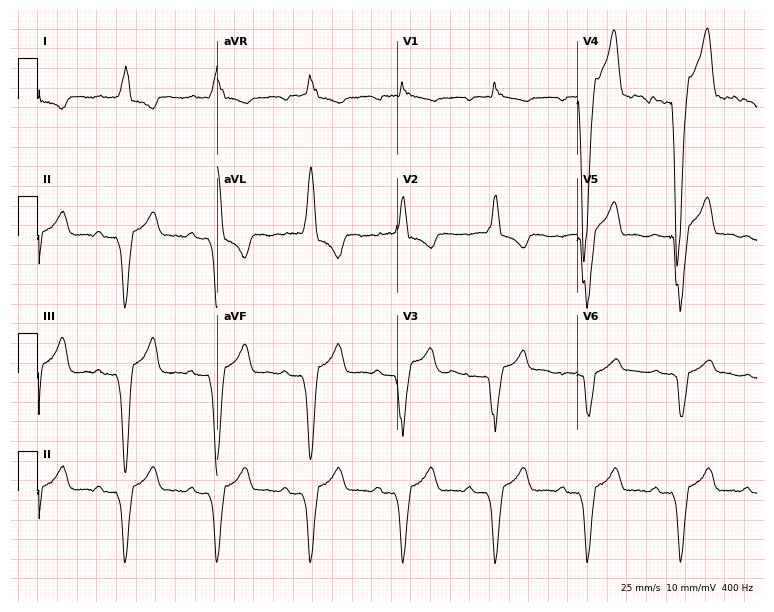
12-lead ECG from a woman, 85 years old. Screened for six findings — first-degree AV block, right bundle branch block, left bundle branch block, sinus bradycardia, atrial fibrillation, sinus tachycardia — none is recorded. Findings outside these six are not listed.